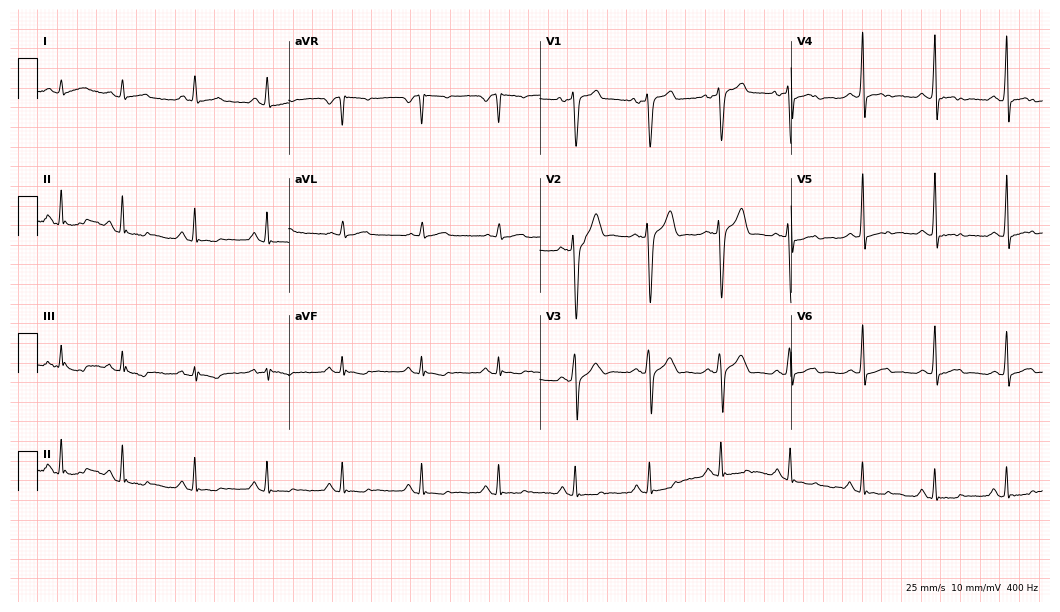
Standard 12-lead ECG recorded from a 29-year-old male. None of these six findings is recorded: first-degree AV block, right bundle branch block (RBBB), left bundle branch block (LBBB), sinus bradycardia, atrial fibrillation (AF), sinus tachycardia. Other findings, if any, are not listed.